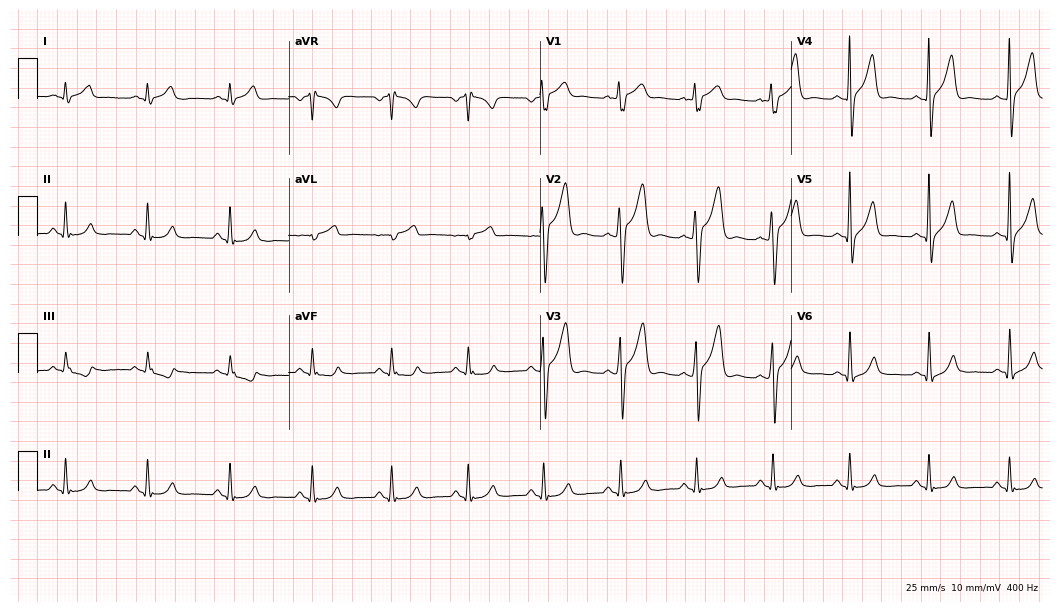
Resting 12-lead electrocardiogram. Patient: a male, 33 years old. Read as a normal ECG.